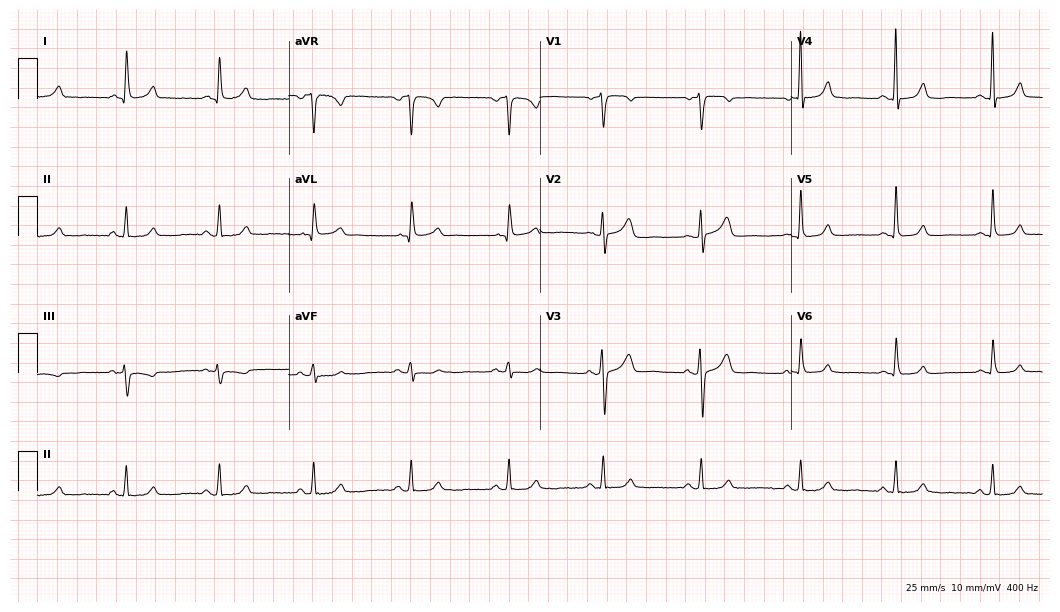
12-lead ECG (10.2-second recording at 400 Hz) from a female, 57 years old. Labelled as a normal ECG.